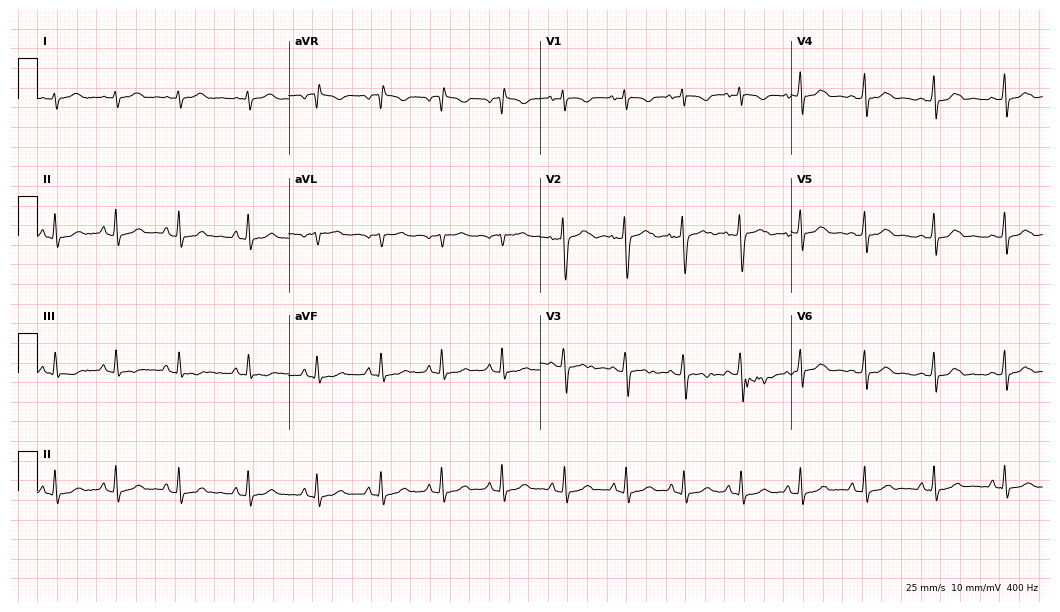
Electrocardiogram, a woman, 18 years old. Overall reading on record: normal ECG.